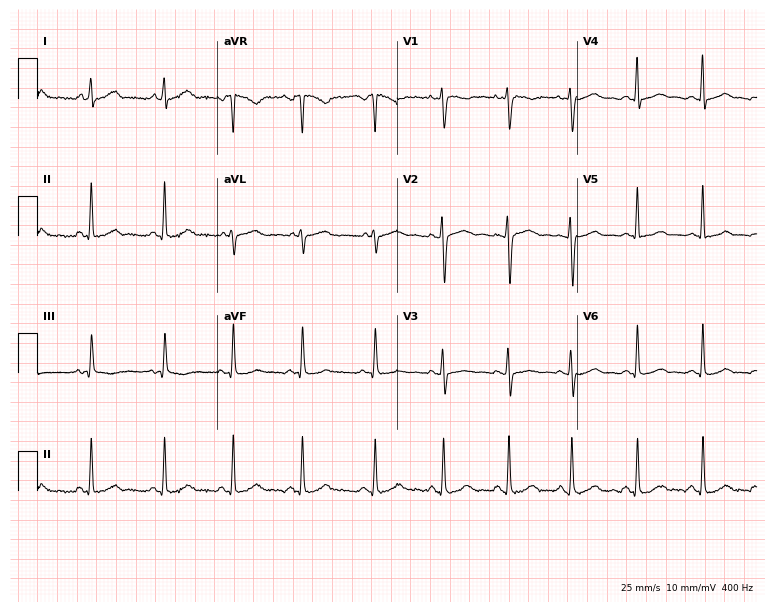
12-lead ECG (7.3-second recording at 400 Hz) from a woman, 22 years old. Labelled as a normal ECG.